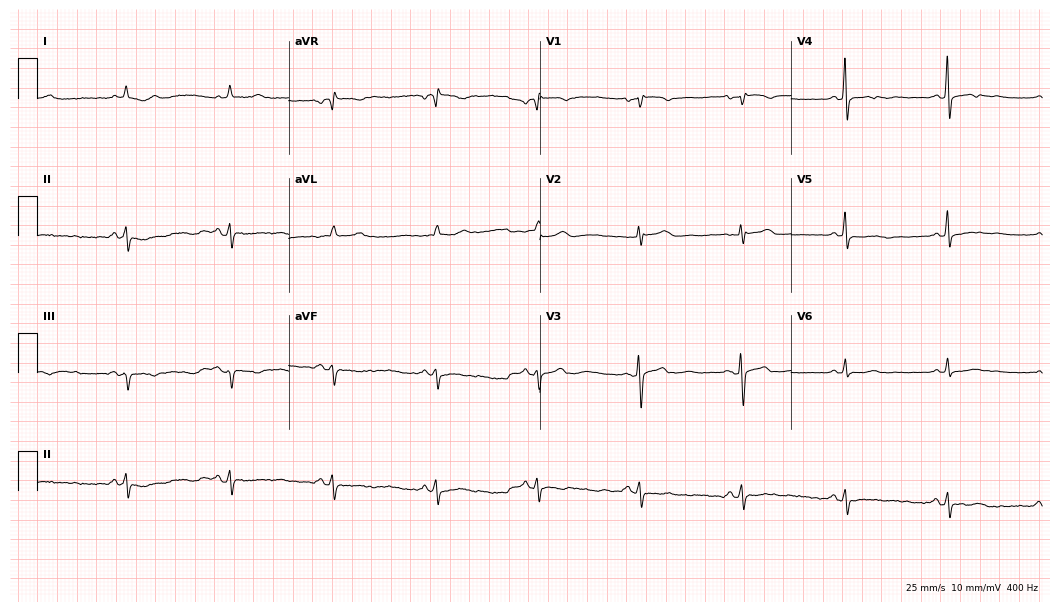
12-lead ECG (10.2-second recording at 400 Hz) from a 75-year-old female patient. Screened for six findings — first-degree AV block, right bundle branch block, left bundle branch block, sinus bradycardia, atrial fibrillation, sinus tachycardia — none is recorded.